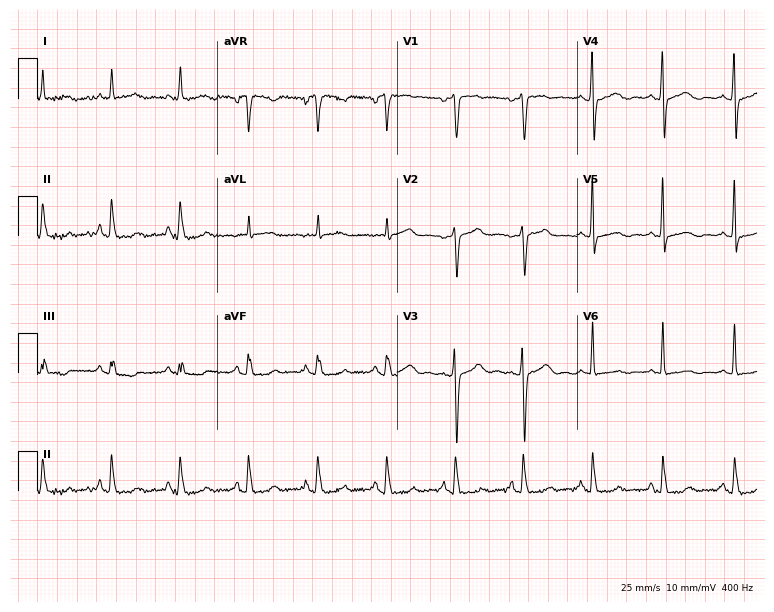
ECG (7.3-second recording at 400 Hz) — a woman, 47 years old. Screened for six findings — first-degree AV block, right bundle branch block, left bundle branch block, sinus bradycardia, atrial fibrillation, sinus tachycardia — none is recorded.